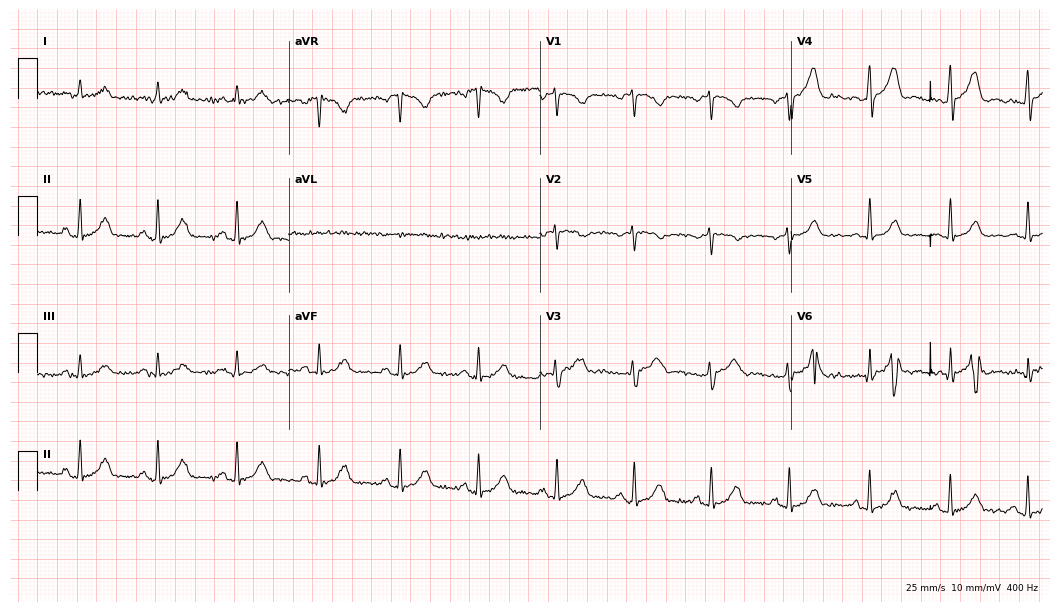
Electrocardiogram (10.2-second recording at 400 Hz), a woman, 45 years old. Of the six screened findings (first-degree AV block, right bundle branch block, left bundle branch block, sinus bradycardia, atrial fibrillation, sinus tachycardia), none is recorded.